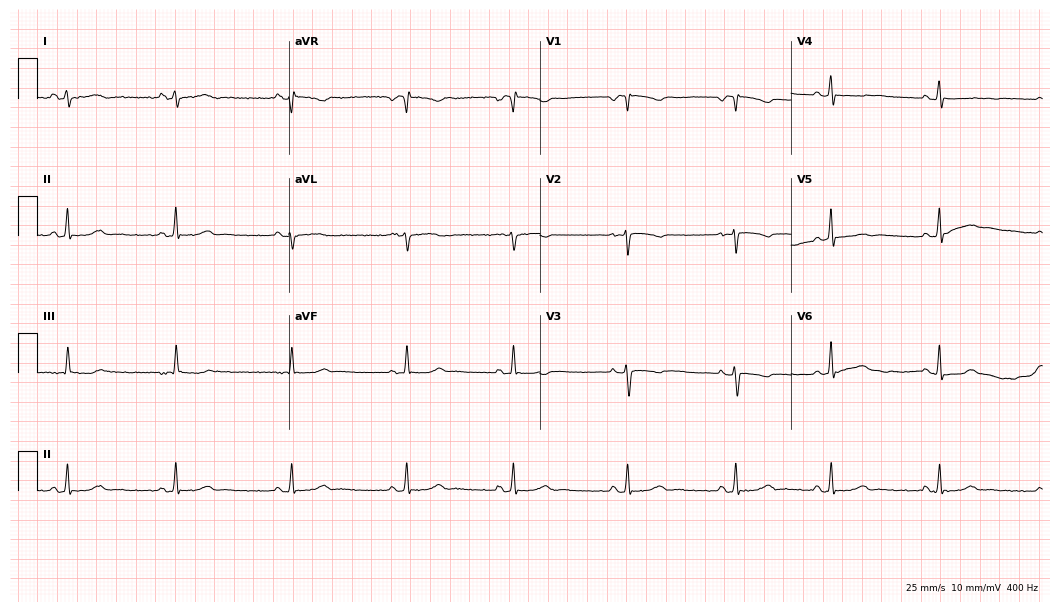
ECG — a 22-year-old woman. Screened for six findings — first-degree AV block, right bundle branch block (RBBB), left bundle branch block (LBBB), sinus bradycardia, atrial fibrillation (AF), sinus tachycardia — none is recorded.